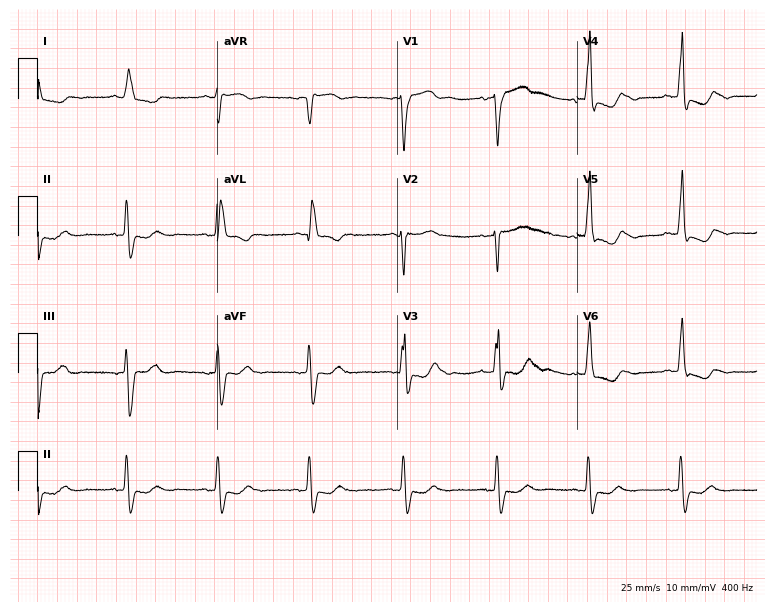
Standard 12-lead ECG recorded from a 73-year-old female patient (7.3-second recording at 400 Hz). None of these six findings is recorded: first-degree AV block, right bundle branch block, left bundle branch block, sinus bradycardia, atrial fibrillation, sinus tachycardia.